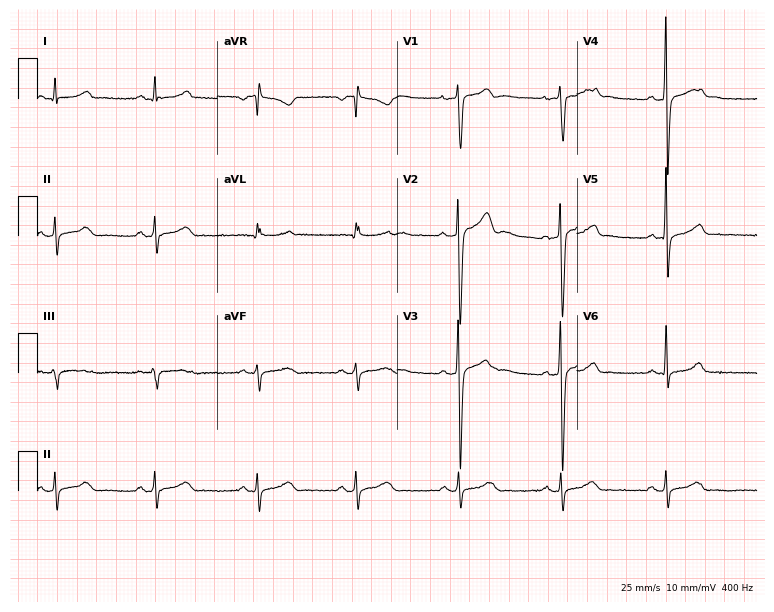
ECG — a male, 21 years old. Labelled as a normal ECG.